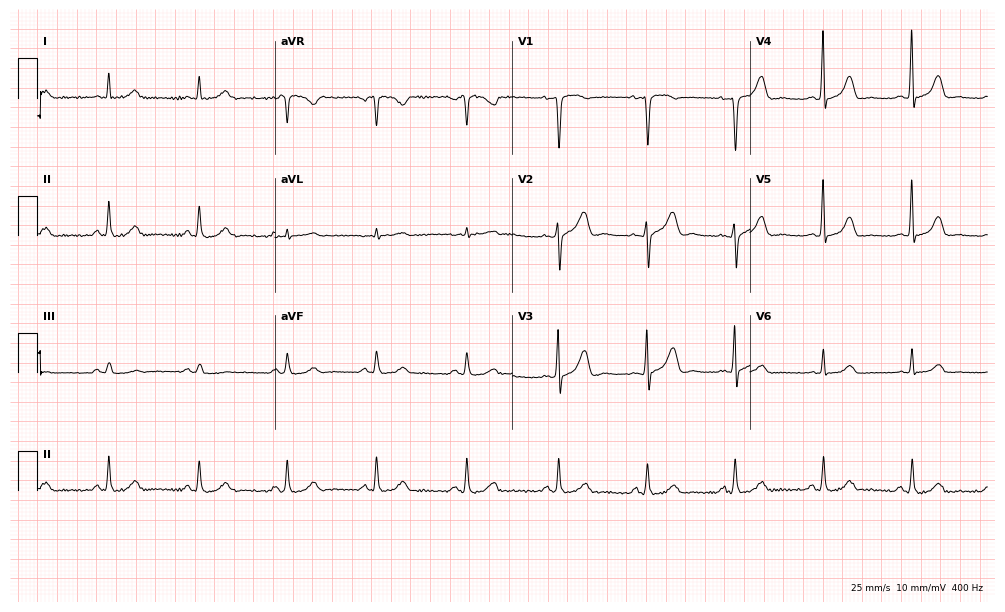
Electrocardiogram, a 52-year-old female. Overall reading on record: normal ECG.